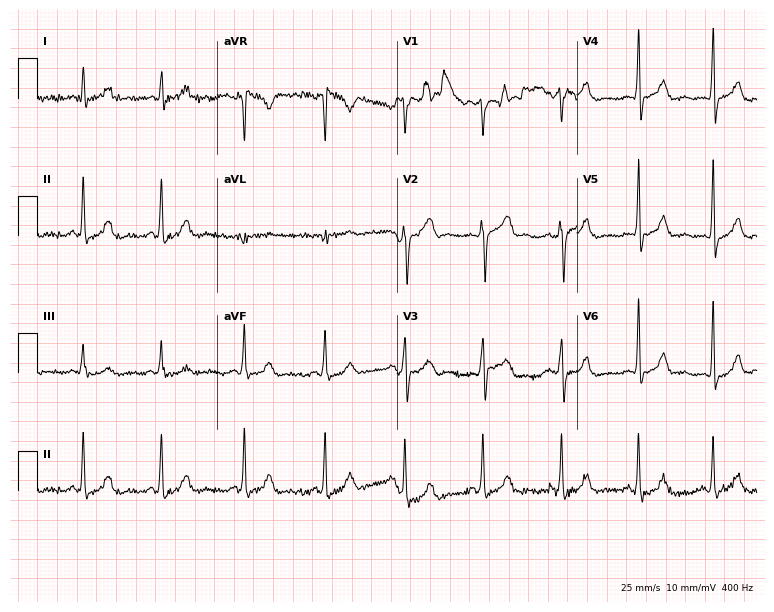
12-lead ECG from a 33-year-old female patient. No first-degree AV block, right bundle branch block (RBBB), left bundle branch block (LBBB), sinus bradycardia, atrial fibrillation (AF) or sinus tachycardia recorded for this tracing. Other findings, if any, are not listed.